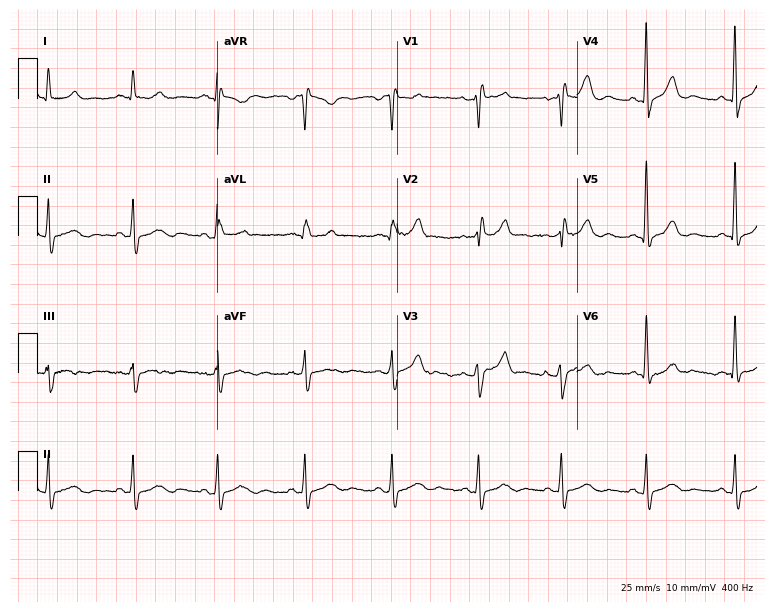
ECG (7.3-second recording at 400 Hz) — a woman, 63 years old. Screened for six findings — first-degree AV block, right bundle branch block, left bundle branch block, sinus bradycardia, atrial fibrillation, sinus tachycardia — none is recorded. Findings outside these six are not listed.